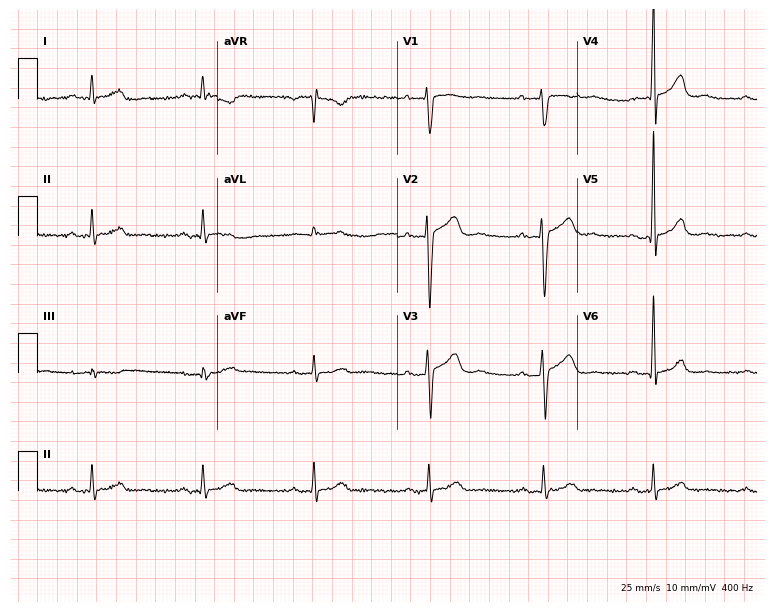
Electrocardiogram (7.3-second recording at 400 Hz), a male patient, 34 years old. Overall reading on record: normal ECG.